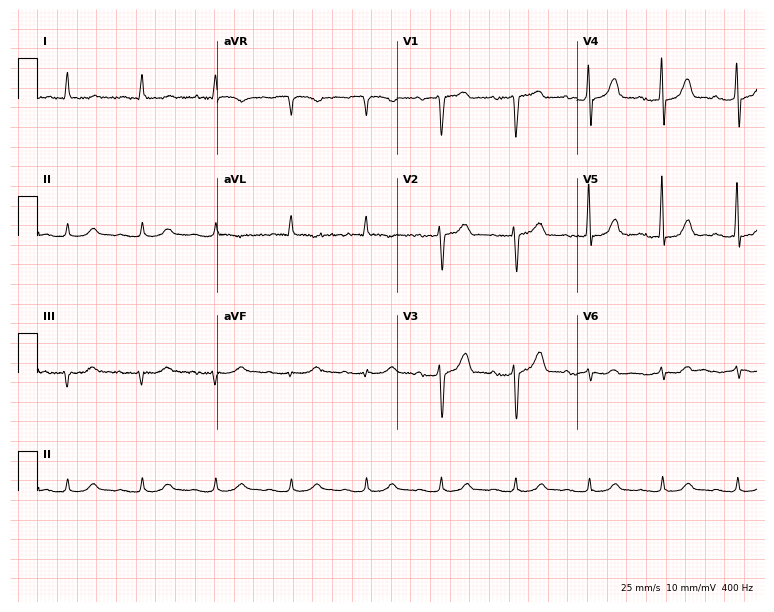
12-lead ECG from an 82-year-old female (7.3-second recording at 400 Hz). Shows first-degree AV block.